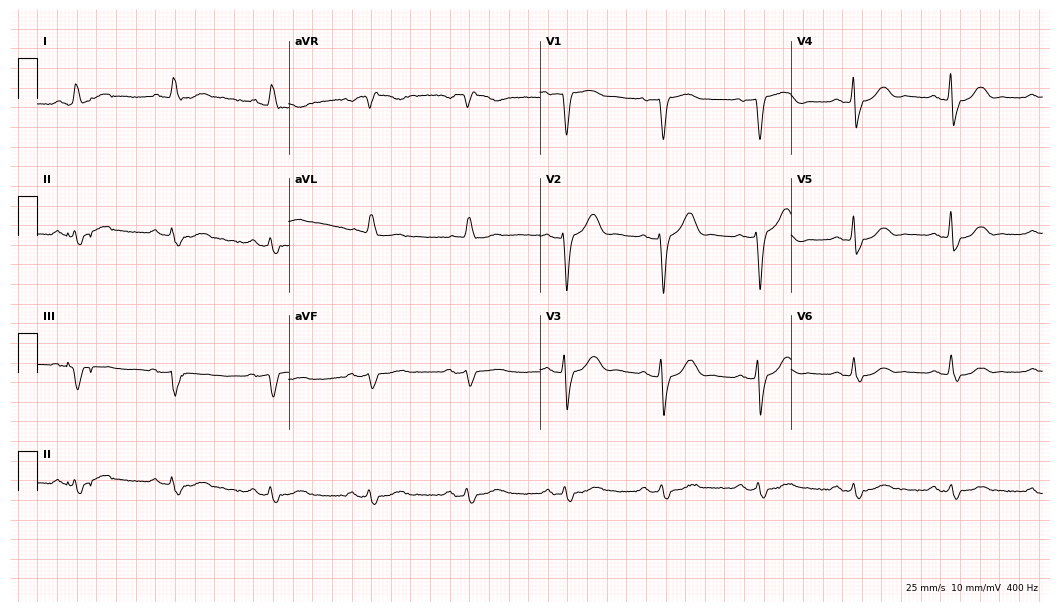
ECG — a male patient, 80 years old. Screened for six findings — first-degree AV block, right bundle branch block, left bundle branch block, sinus bradycardia, atrial fibrillation, sinus tachycardia — none is recorded. Other findings, if any, are not listed.